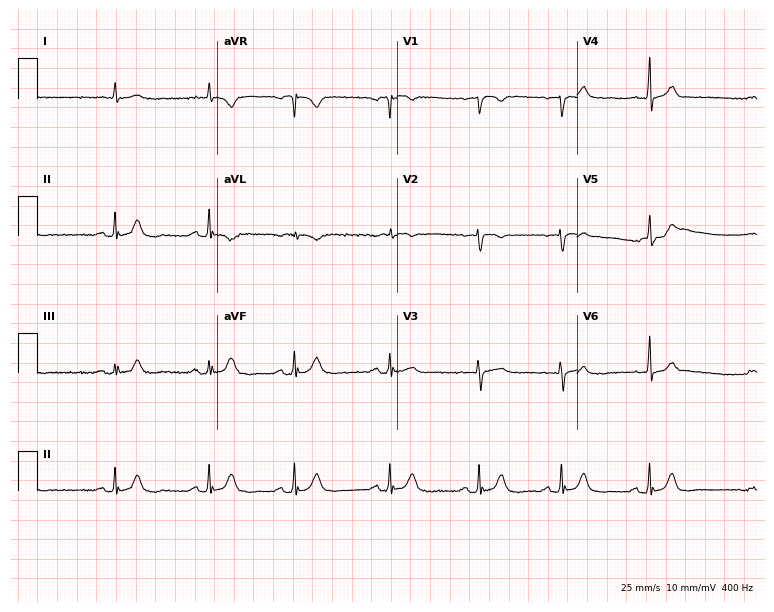
Resting 12-lead electrocardiogram (7.3-second recording at 400 Hz). Patient: a 77-year-old male. None of these six findings is recorded: first-degree AV block, right bundle branch block (RBBB), left bundle branch block (LBBB), sinus bradycardia, atrial fibrillation (AF), sinus tachycardia.